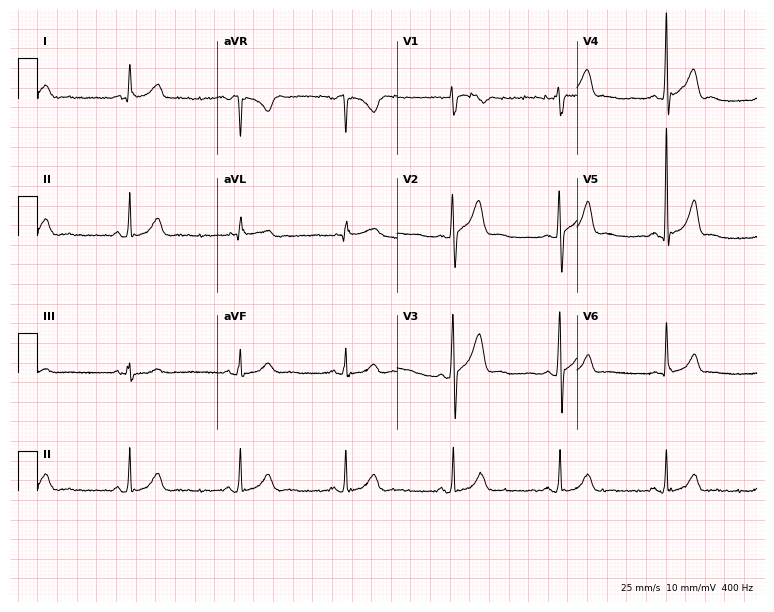
12-lead ECG (7.3-second recording at 400 Hz) from a man, 40 years old. Labelled as a normal ECG.